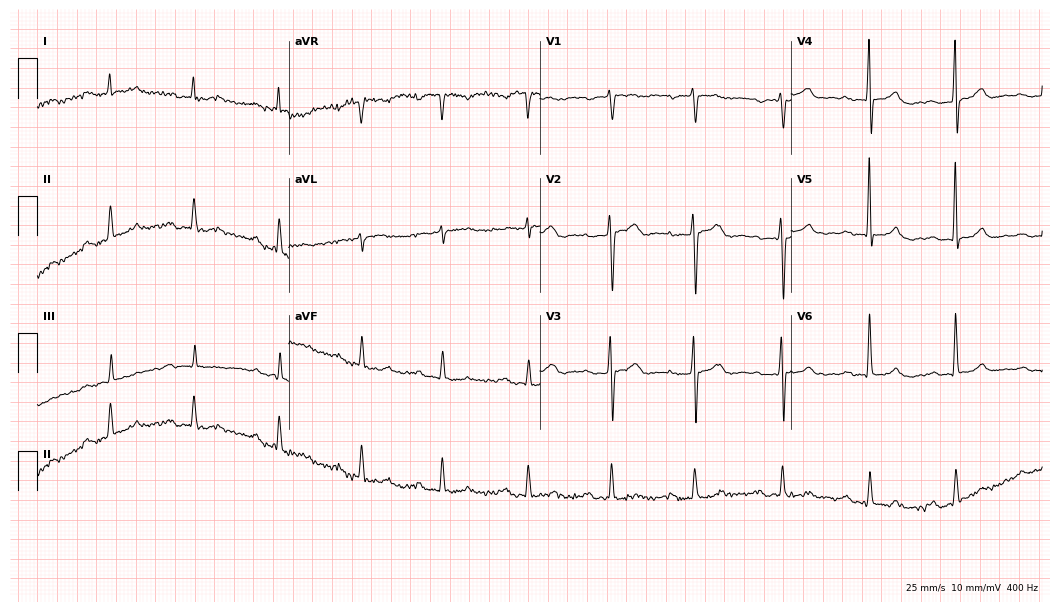
12-lead ECG from a 73-year-old man. Findings include first-degree AV block.